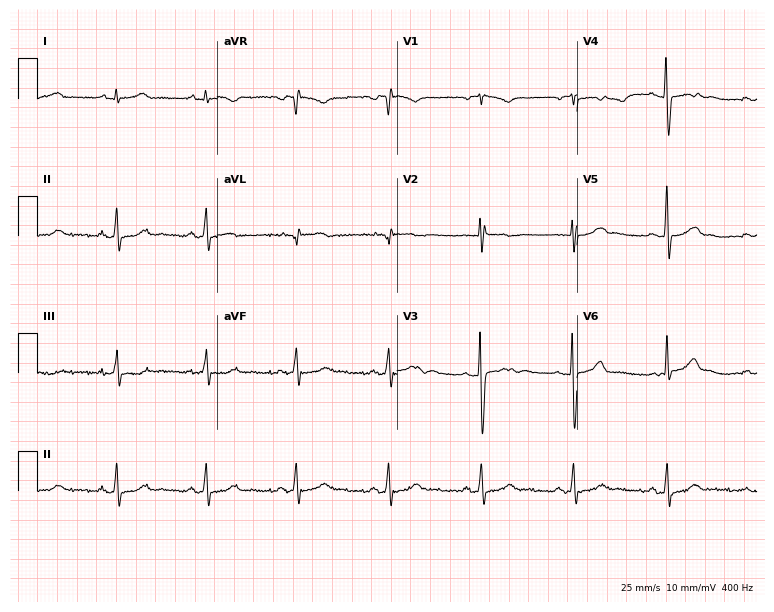
Electrocardiogram (7.3-second recording at 400 Hz), a woman, 42 years old. Overall reading on record: normal ECG.